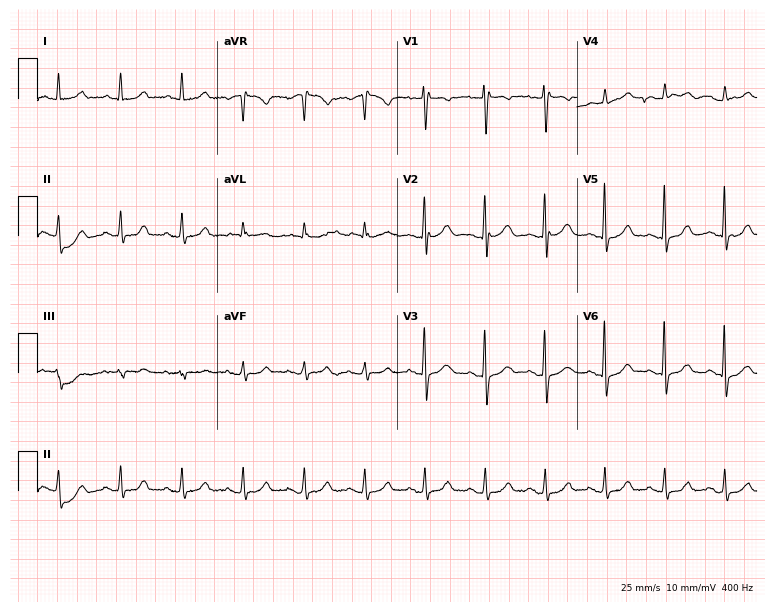
12-lead ECG (7.3-second recording at 400 Hz) from a female, 70 years old. Labelled as a normal ECG.